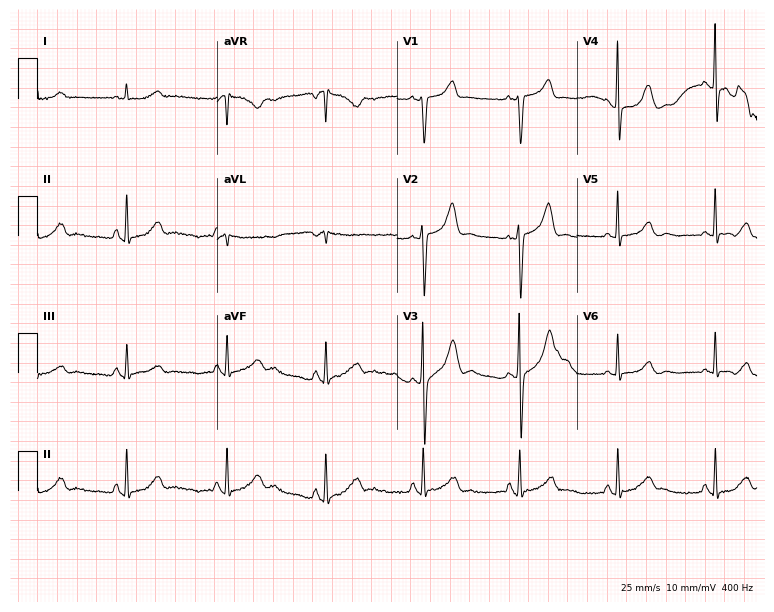
12-lead ECG from a man, 65 years old. Labelled as a normal ECG.